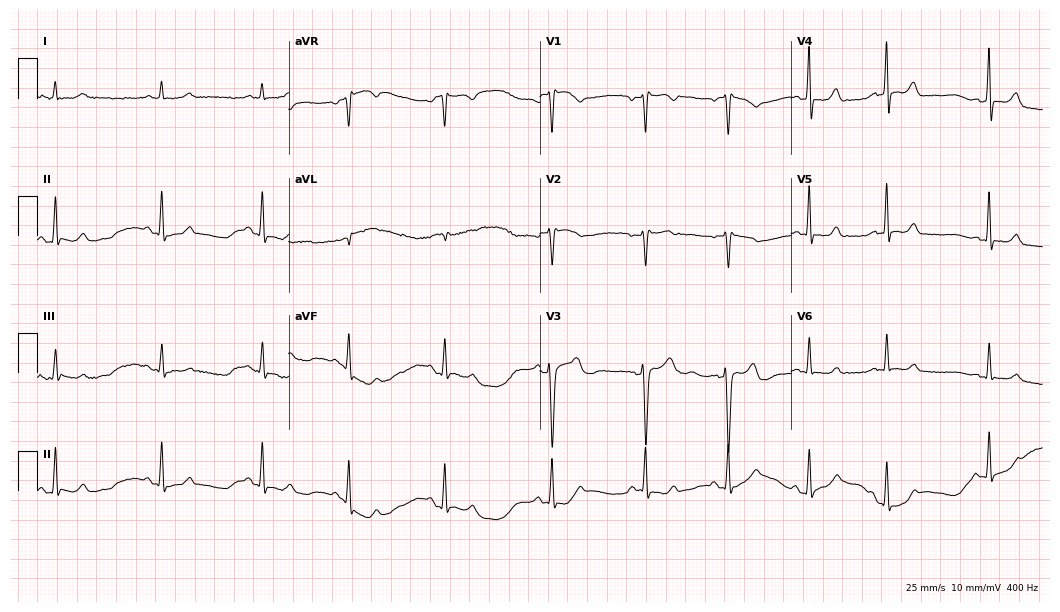
Standard 12-lead ECG recorded from a 39-year-old female. Read as a normal ECG.